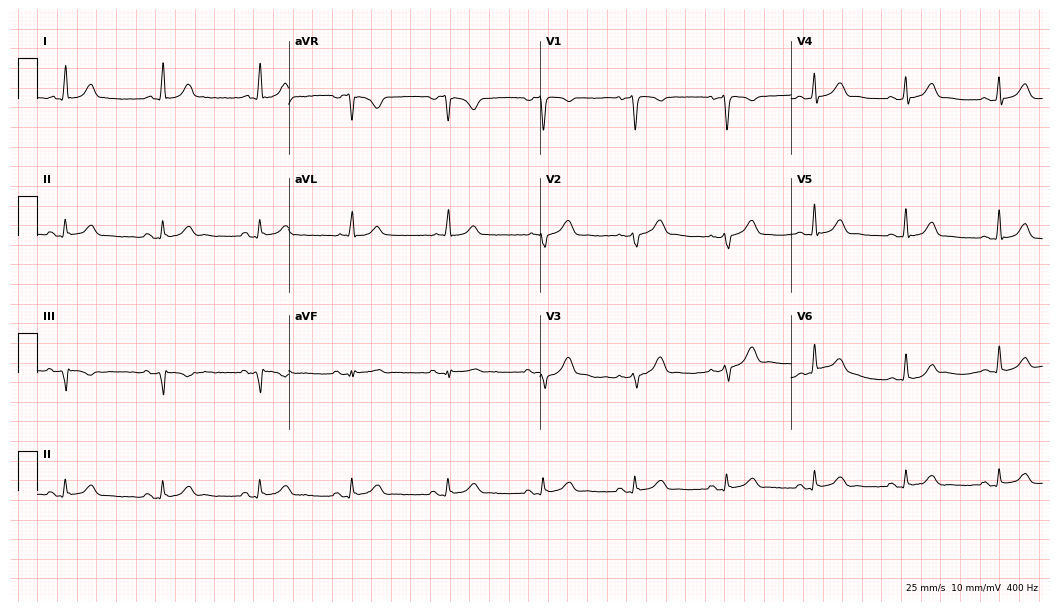
Standard 12-lead ECG recorded from a 53-year-old woman. None of these six findings is recorded: first-degree AV block, right bundle branch block (RBBB), left bundle branch block (LBBB), sinus bradycardia, atrial fibrillation (AF), sinus tachycardia.